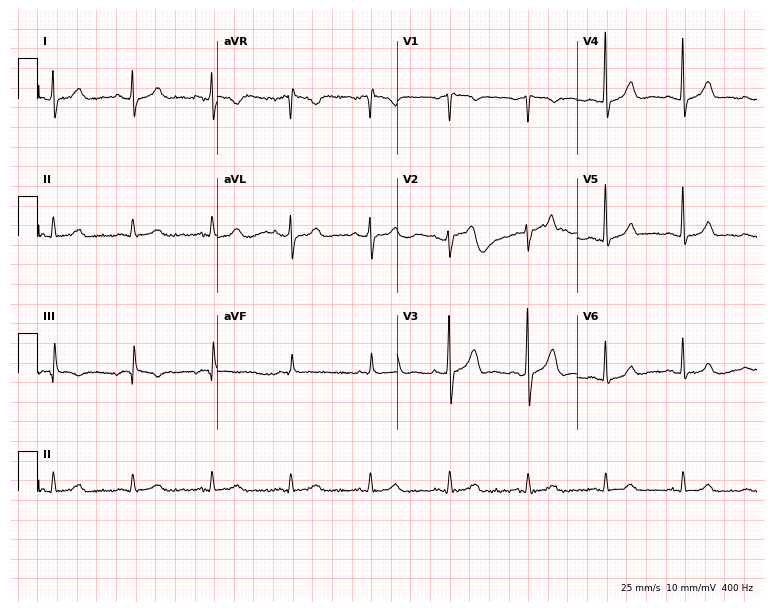
Electrocardiogram, a 74-year-old male patient. Overall reading on record: normal ECG.